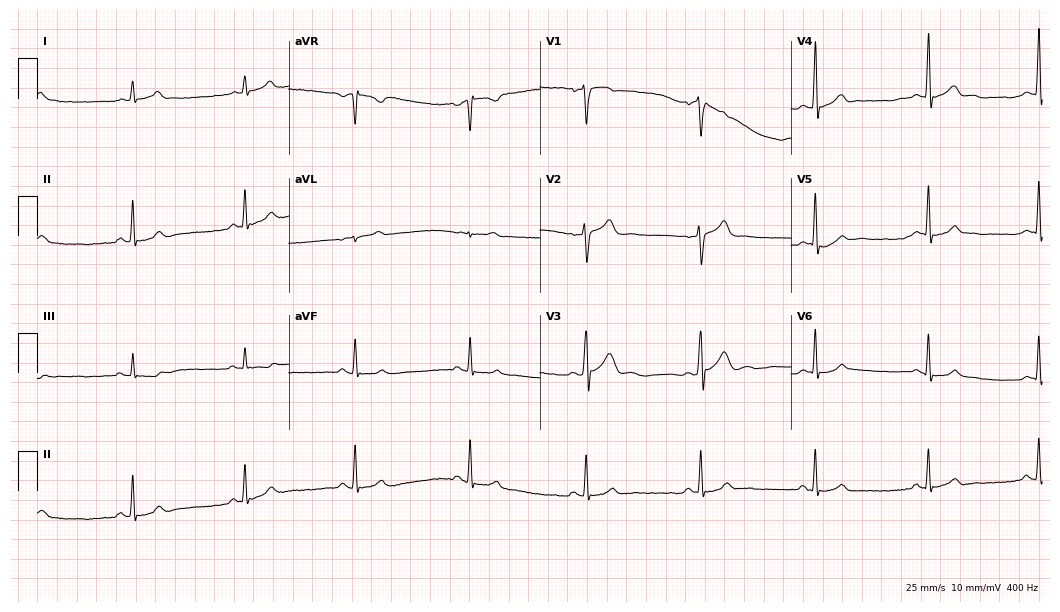
ECG (10.2-second recording at 400 Hz) — a male patient, 29 years old. Labelled as a normal ECG.